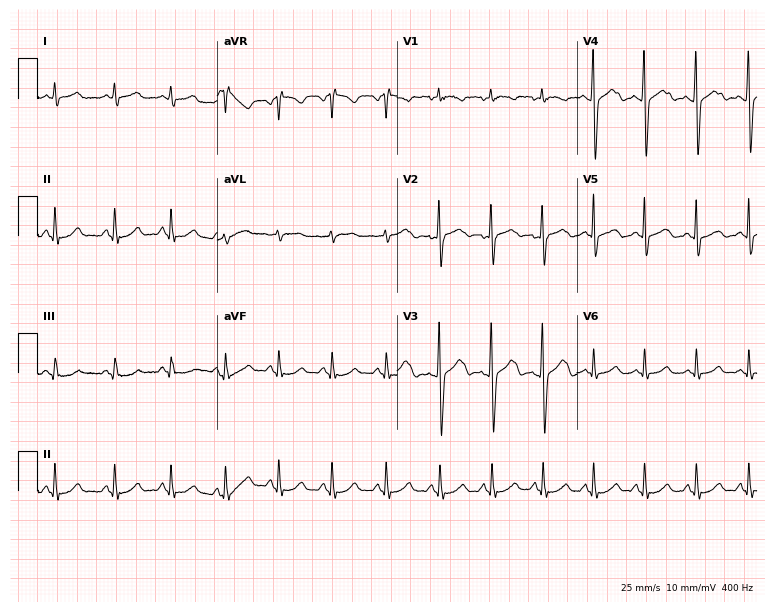
12-lead ECG from a woman, 20 years old (7.3-second recording at 400 Hz). Shows sinus tachycardia (a sinus rate of 100 beats per minute or more).